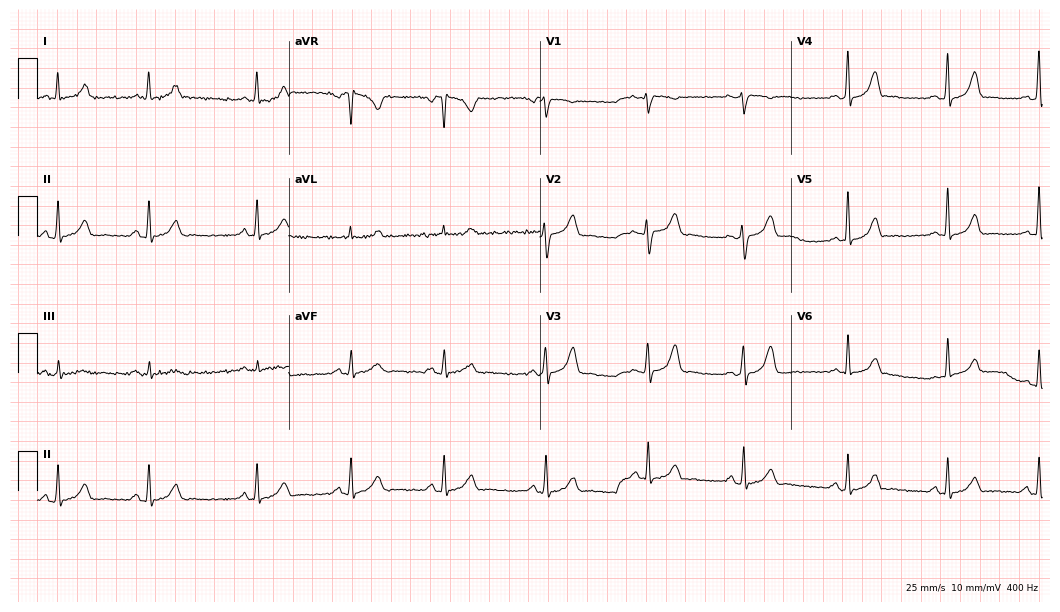
12-lead ECG from a female, 39 years old. Labelled as a normal ECG.